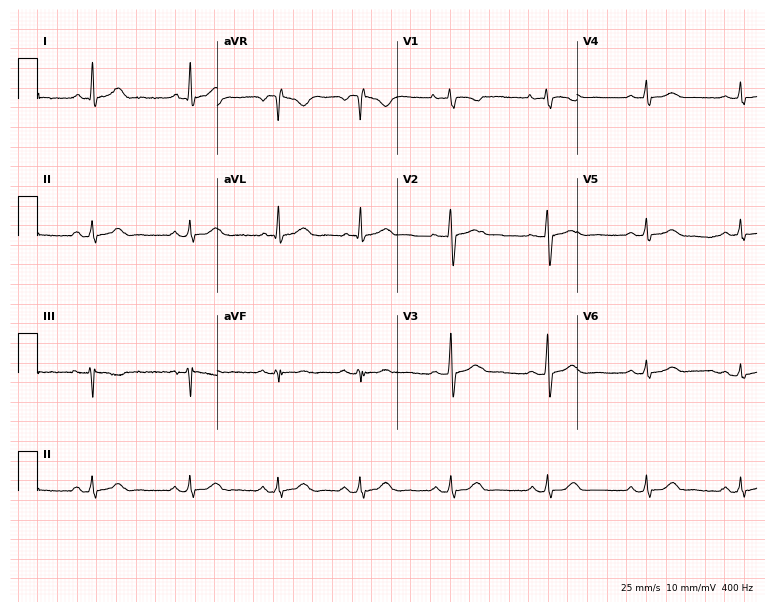
Electrocardiogram, a 37-year-old female. Of the six screened findings (first-degree AV block, right bundle branch block (RBBB), left bundle branch block (LBBB), sinus bradycardia, atrial fibrillation (AF), sinus tachycardia), none is recorded. Other findings, if any, are not listed.